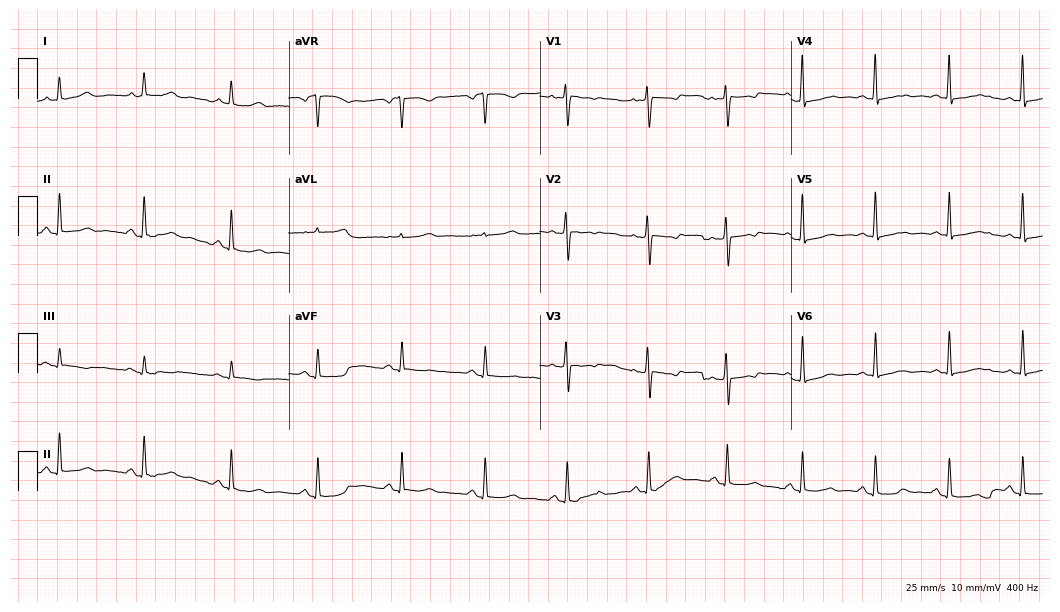
Resting 12-lead electrocardiogram (10.2-second recording at 400 Hz). Patient: a 44-year-old female. Read as a normal ECG.